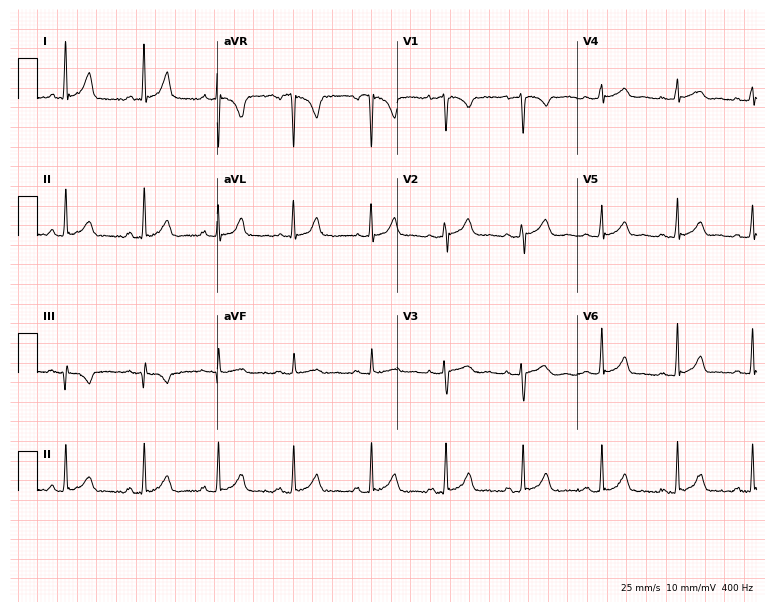
Electrocardiogram (7.3-second recording at 400 Hz), a 29-year-old female patient. Of the six screened findings (first-degree AV block, right bundle branch block, left bundle branch block, sinus bradycardia, atrial fibrillation, sinus tachycardia), none is recorded.